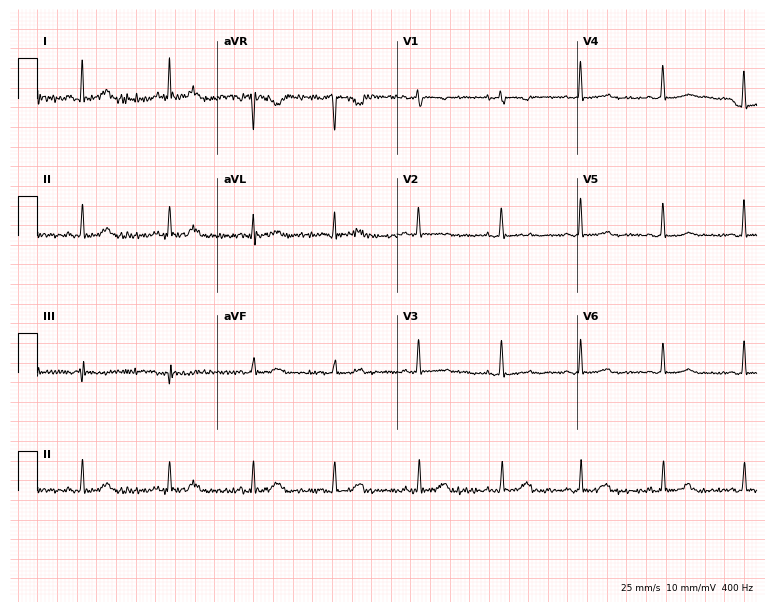
Standard 12-lead ECG recorded from a 26-year-old male patient (7.3-second recording at 400 Hz). None of these six findings is recorded: first-degree AV block, right bundle branch block, left bundle branch block, sinus bradycardia, atrial fibrillation, sinus tachycardia. Only these six findings were labelled.